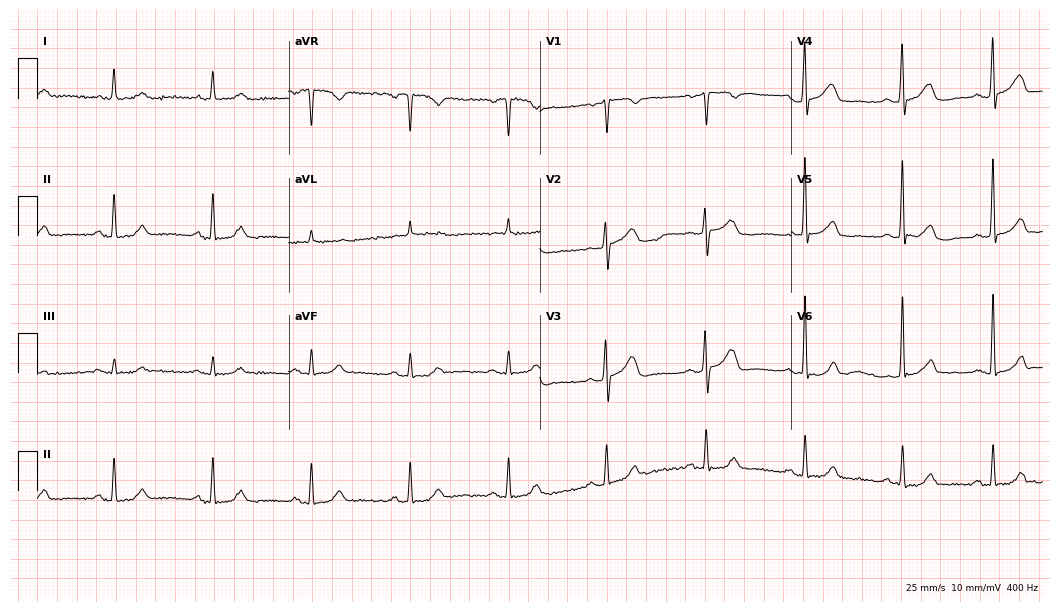
ECG (10.2-second recording at 400 Hz) — an 84-year-old male. Labelled as a normal ECG.